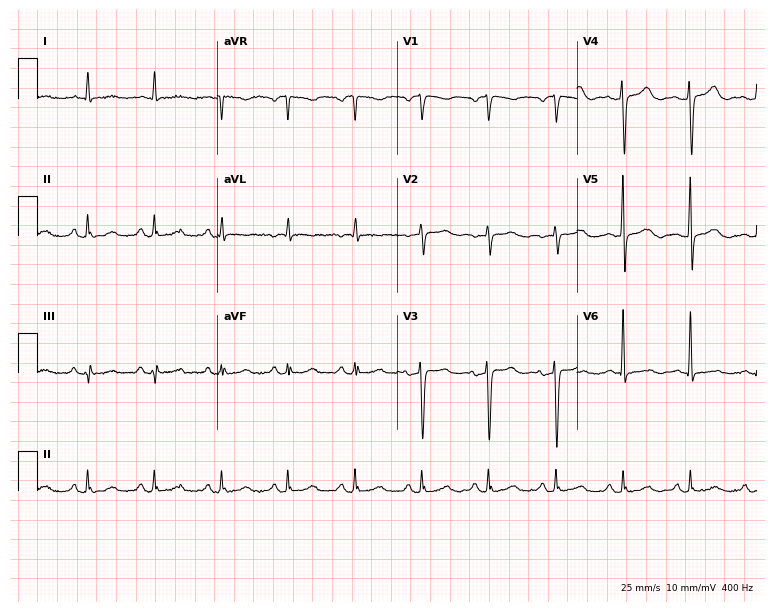
ECG — a 66-year-old woman. Screened for six findings — first-degree AV block, right bundle branch block, left bundle branch block, sinus bradycardia, atrial fibrillation, sinus tachycardia — none is recorded. Only these six findings were labelled.